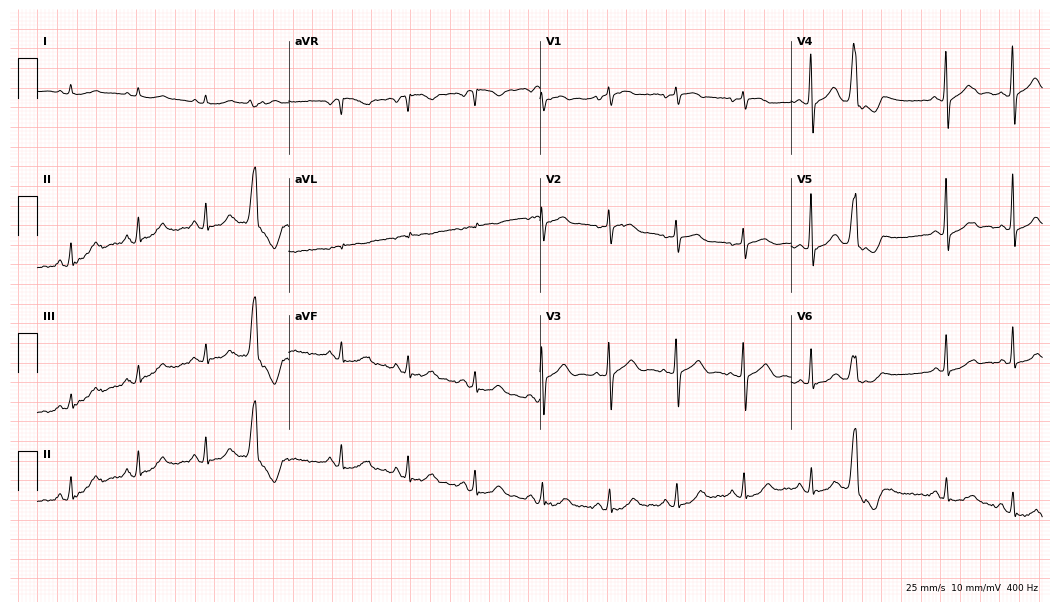
Electrocardiogram (10.2-second recording at 400 Hz), an 85-year-old woman. Of the six screened findings (first-degree AV block, right bundle branch block, left bundle branch block, sinus bradycardia, atrial fibrillation, sinus tachycardia), none is recorded. Only these six findings were labelled.